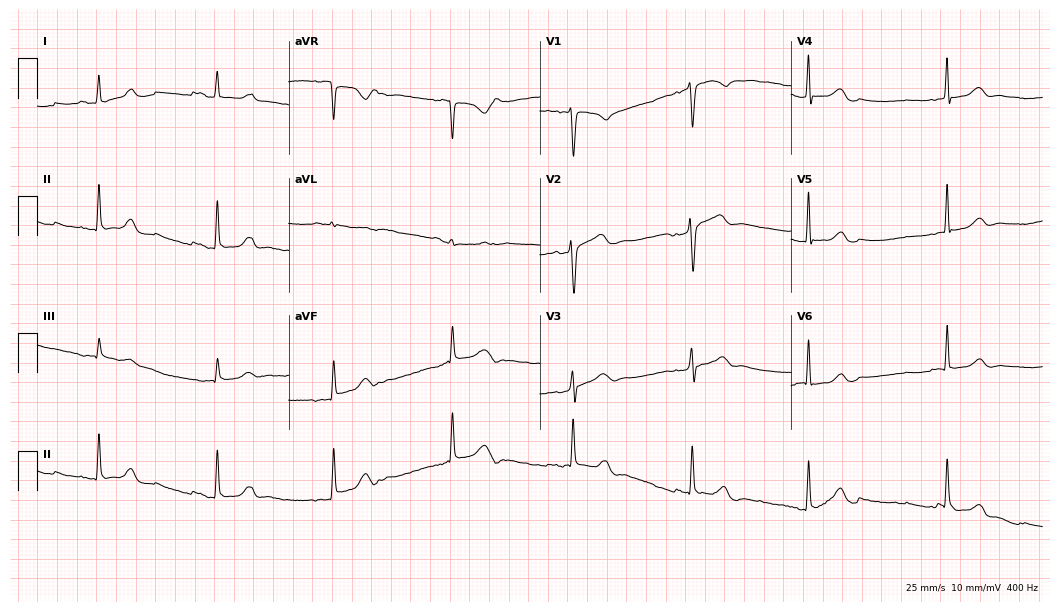
12-lead ECG (10.2-second recording at 400 Hz) from a female, 54 years old. Findings include sinus bradycardia (a sinus rate of 50 beats per minute or less).